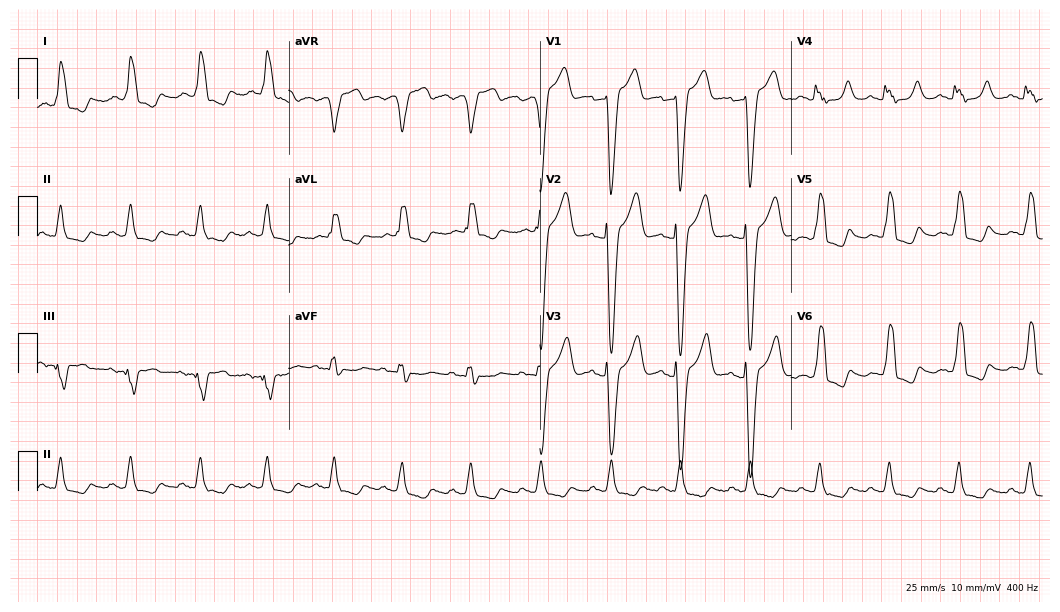
Electrocardiogram (10.2-second recording at 400 Hz), a 71-year-old man. Of the six screened findings (first-degree AV block, right bundle branch block, left bundle branch block, sinus bradycardia, atrial fibrillation, sinus tachycardia), none is recorded. Findings outside these six are not listed.